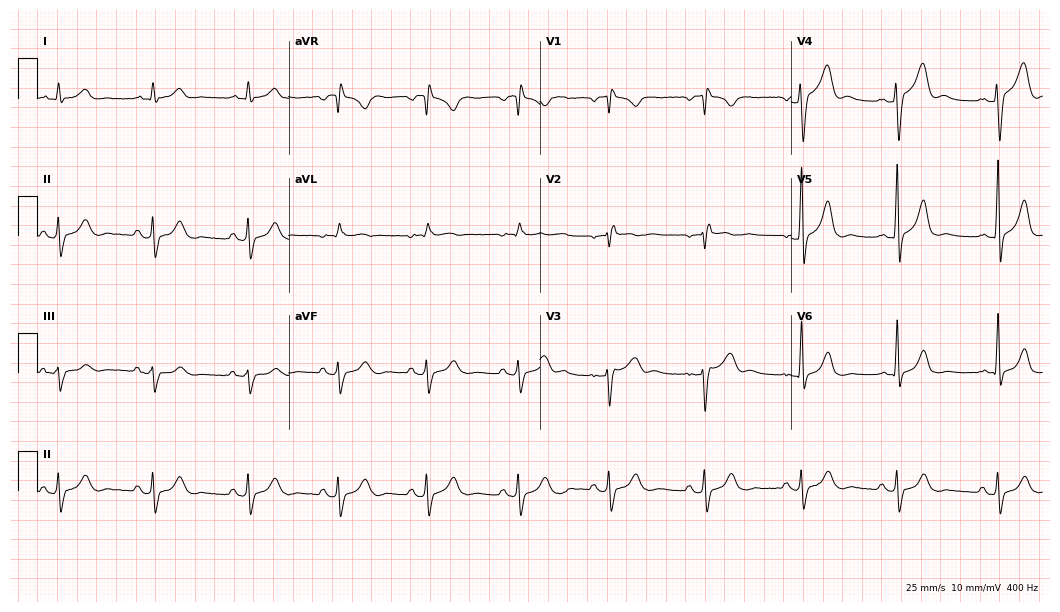
Standard 12-lead ECG recorded from a male patient, 35 years old (10.2-second recording at 400 Hz). The tracing shows right bundle branch block.